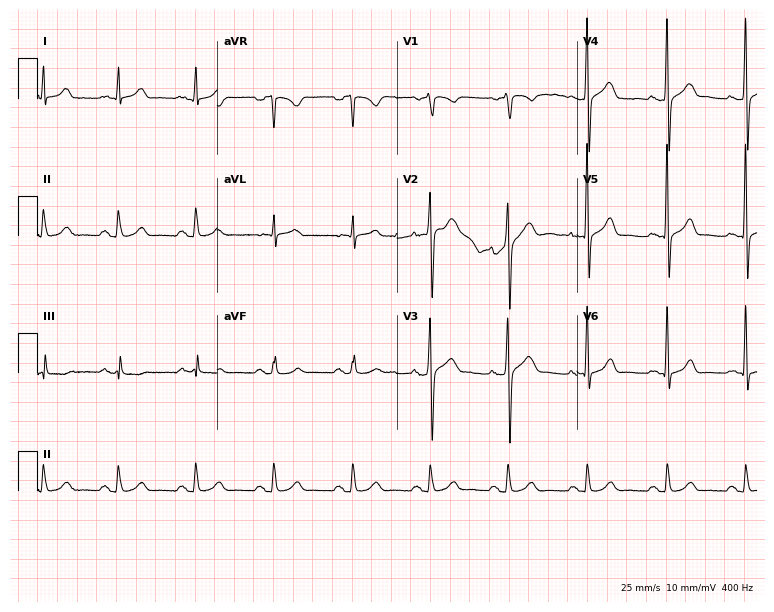
ECG — a 56-year-old male patient. Labelled as a normal ECG.